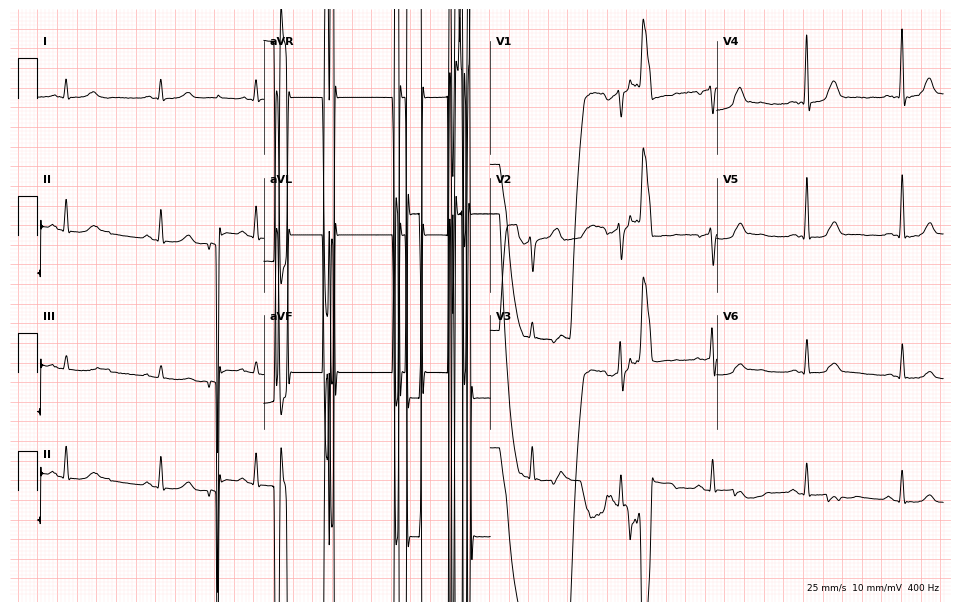
Resting 12-lead electrocardiogram (9.2-second recording at 400 Hz). Patient: a man, 64 years old. None of these six findings is recorded: first-degree AV block, right bundle branch block, left bundle branch block, sinus bradycardia, atrial fibrillation, sinus tachycardia.